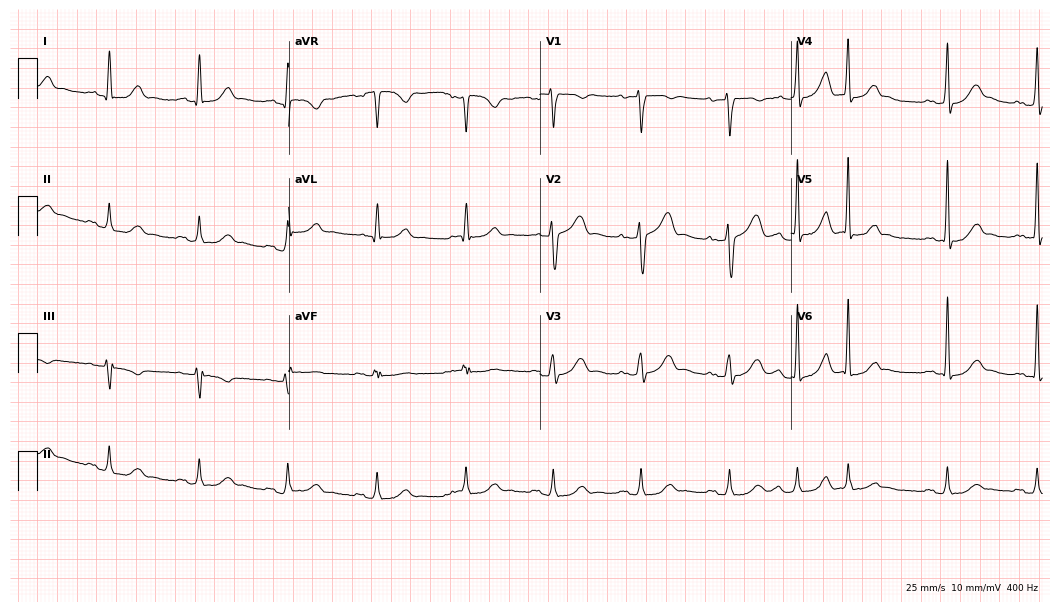
Electrocardiogram, a 51-year-old man. Overall reading on record: normal ECG.